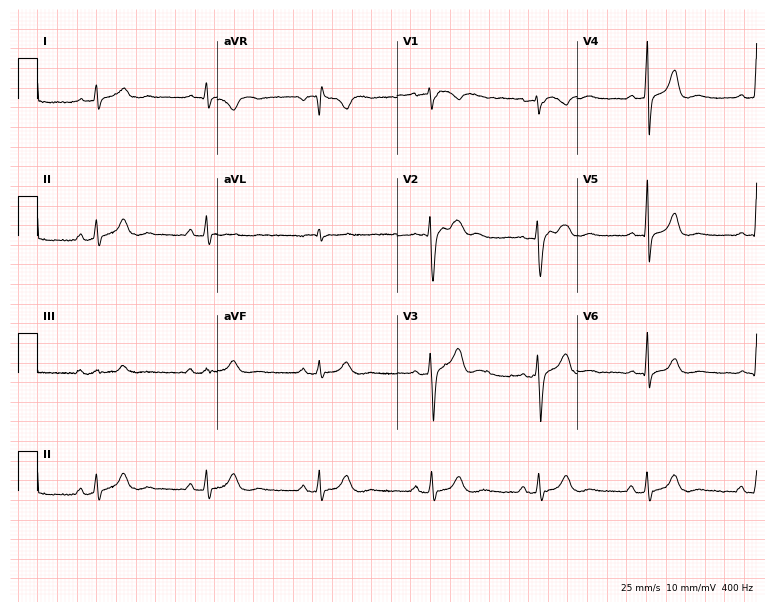
Resting 12-lead electrocardiogram. Patient: a 51-year-old male. None of these six findings is recorded: first-degree AV block, right bundle branch block, left bundle branch block, sinus bradycardia, atrial fibrillation, sinus tachycardia.